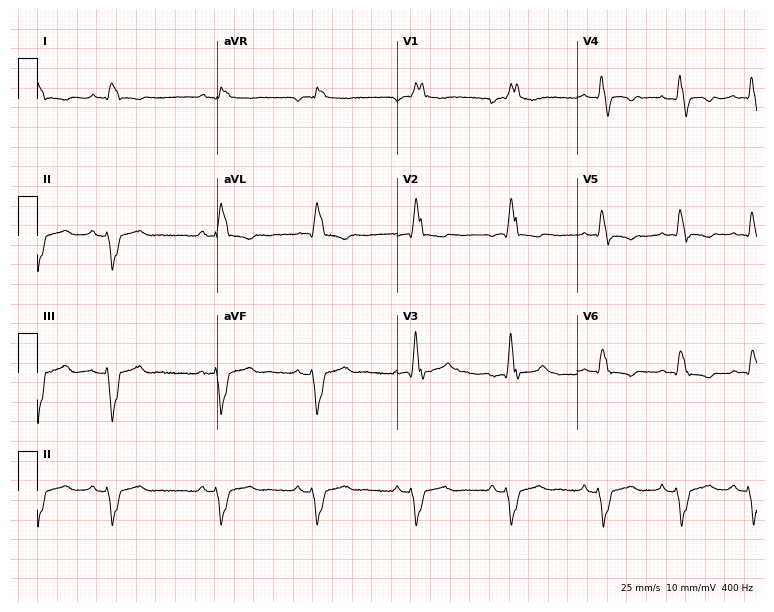
12-lead ECG (7.3-second recording at 400 Hz) from a 64-year-old man. Findings include left bundle branch block.